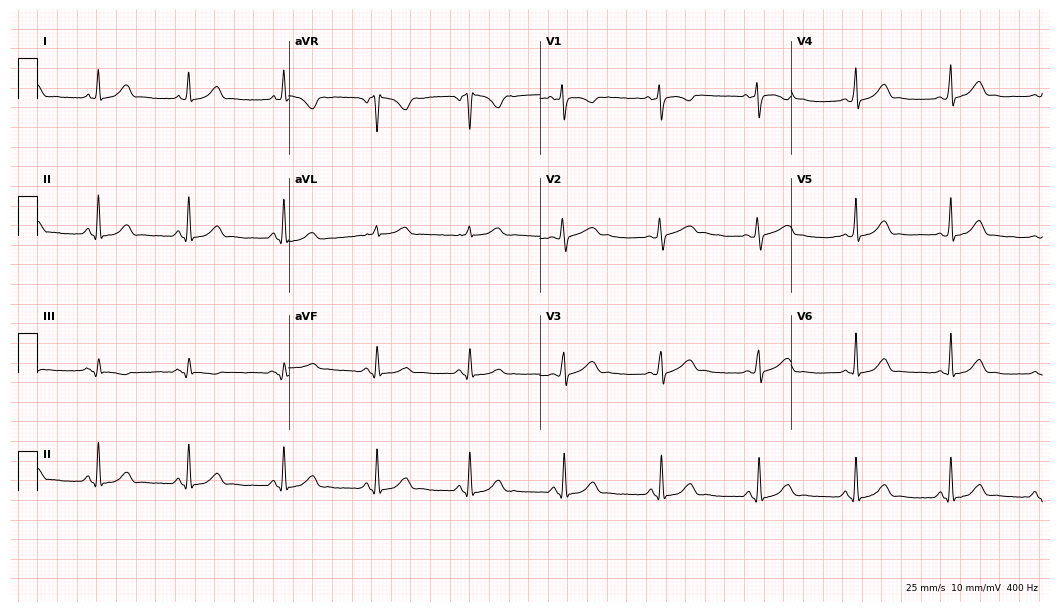
Electrocardiogram (10.2-second recording at 400 Hz), a 22-year-old female. Overall reading on record: normal ECG.